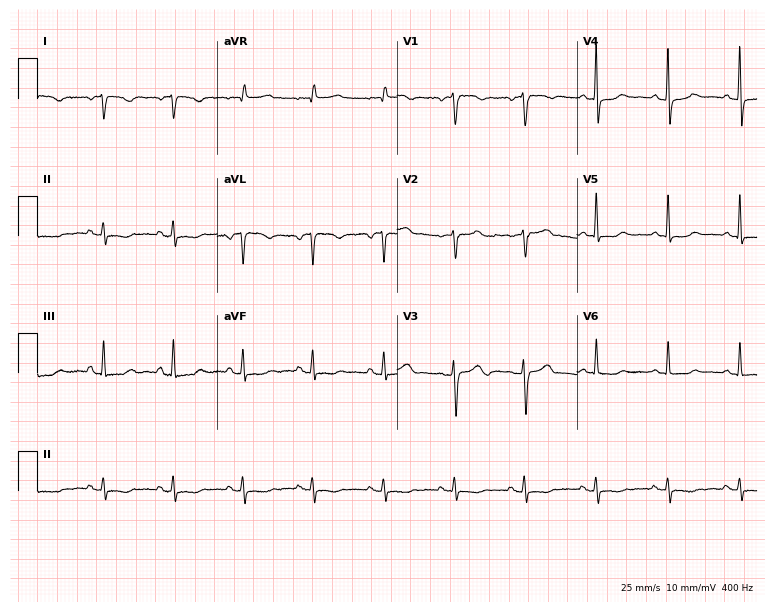
Resting 12-lead electrocardiogram (7.3-second recording at 400 Hz). Patient: a 63-year-old female. None of these six findings is recorded: first-degree AV block, right bundle branch block (RBBB), left bundle branch block (LBBB), sinus bradycardia, atrial fibrillation (AF), sinus tachycardia.